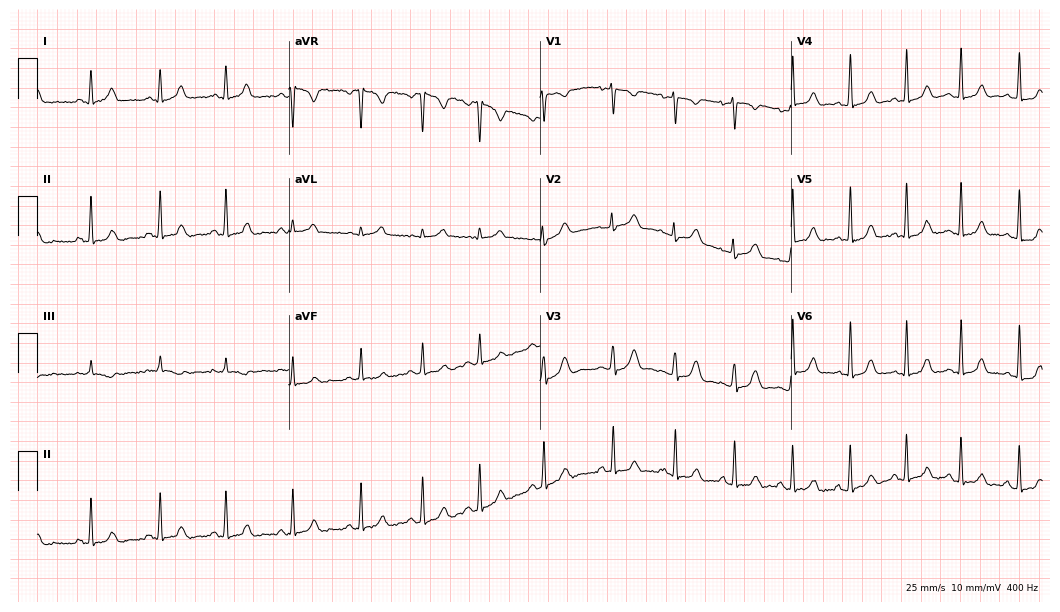
Electrocardiogram (10.2-second recording at 400 Hz), a female patient, 28 years old. Of the six screened findings (first-degree AV block, right bundle branch block (RBBB), left bundle branch block (LBBB), sinus bradycardia, atrial fibrillation (AF), sinus tachycardia), none is recorded.